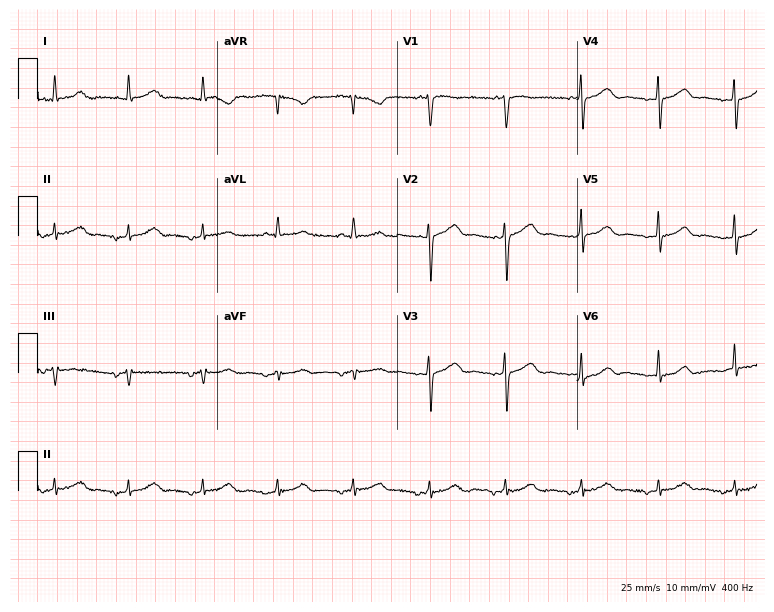
ECG (7.3-second recording at 400 Hz) — a female patient, 65 years old. Screened for six findings — first-degree AV block, right bundle branch block (RBBB), left bundle branch block (LBBB), sinus bradycardia, atrial fibrillation (AF), sinus tachycardia — none is recorded.